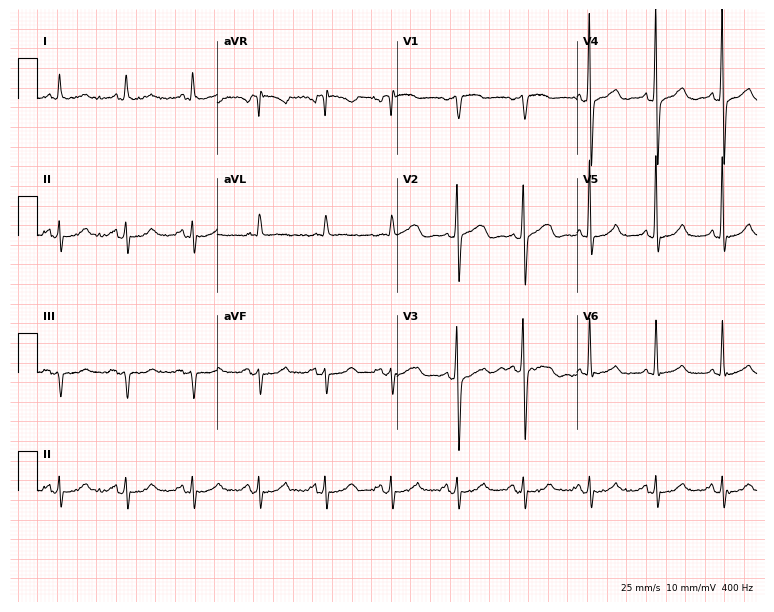
Electrocardiogram, a 76-year-old female. Of the six screened findings (first-degree AV block, right bundle branch block, left bundle branch block, sinus bradycardia, atrial fibrillation, sinus tachycardia), none is recorded.